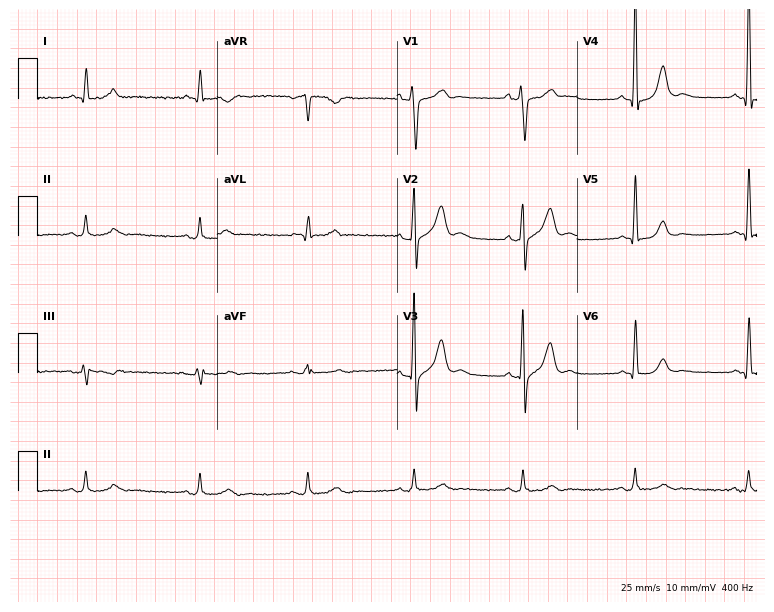
ECG (7.3-second recording at 400 Hz) — a man, 59 years old. Screened for six findings — first-degree AV block, right bundle branch block (RBBB), left bundle branch block (LBBB), sinus bradycardia, atrial fibrillation (AF), sinus tachycardia — none is recorded. Findings outside these six are not listed.